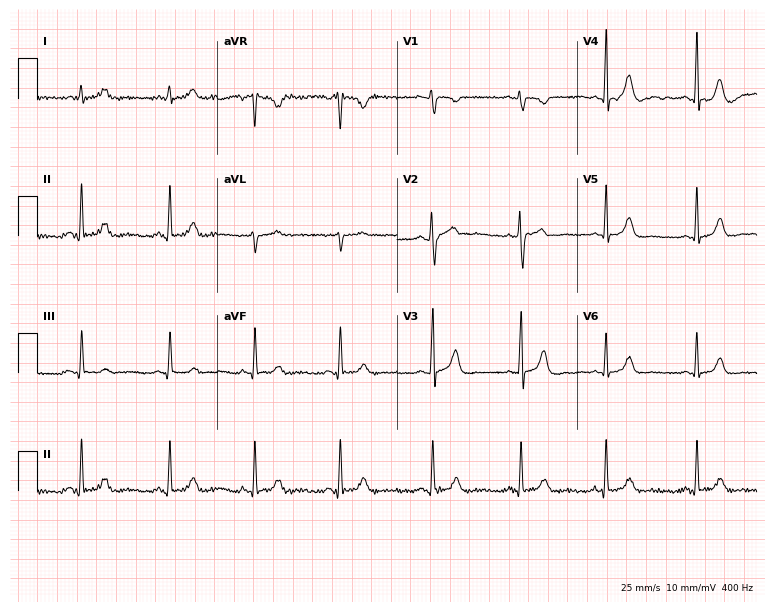
Electrocardiogram (7.3-second recording at 400 Hz), a female, 38 years old. Of the six screened findings (first-degree AV block, right bundle branch block, left bundle branch block, sinus bradycardia, atrial fibrillation, sinus tachycardia), none is recorded.